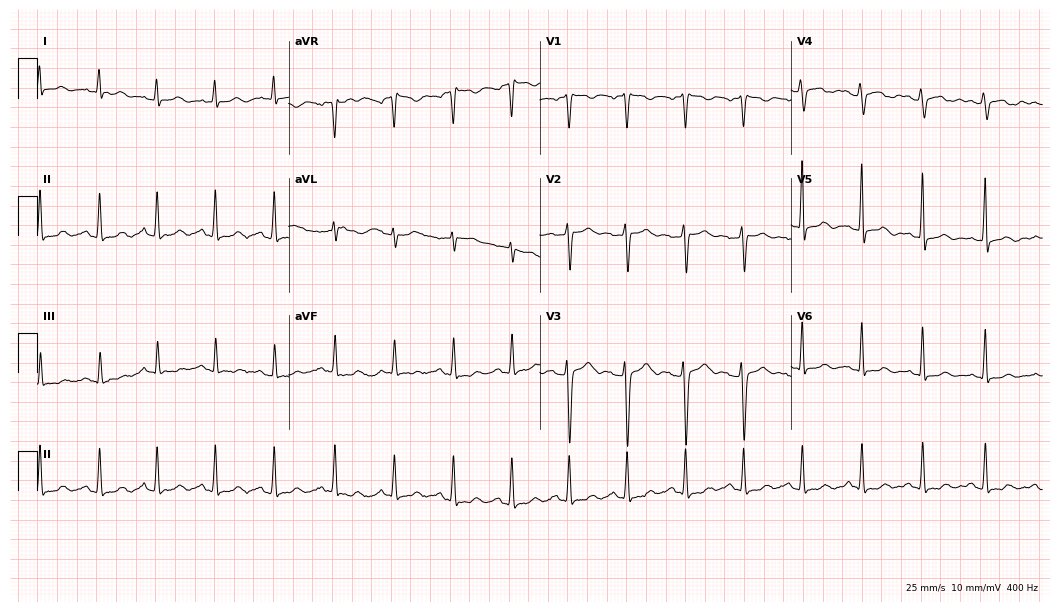
ECG — a female patient, 24 years old. Findings include sinus tachycardia (a sinus rate of 100 beats per minute or more).